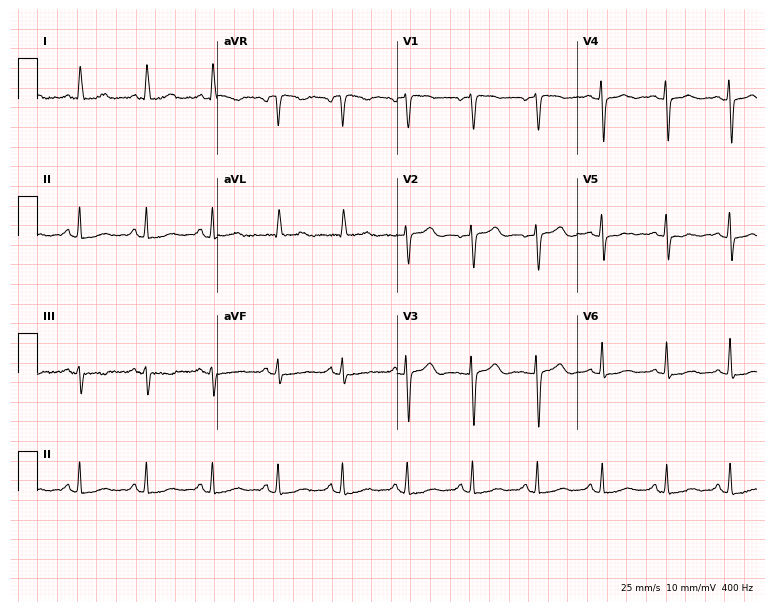
12-lead ECG from a 60-year-old female. Screened for six findings — first-degree AV block, right bundle branch block, left bundle branch block, sinus bradycardia, atrial fibrillation, sinus tachycardia — none is recorded. Only these six findings were labelled.